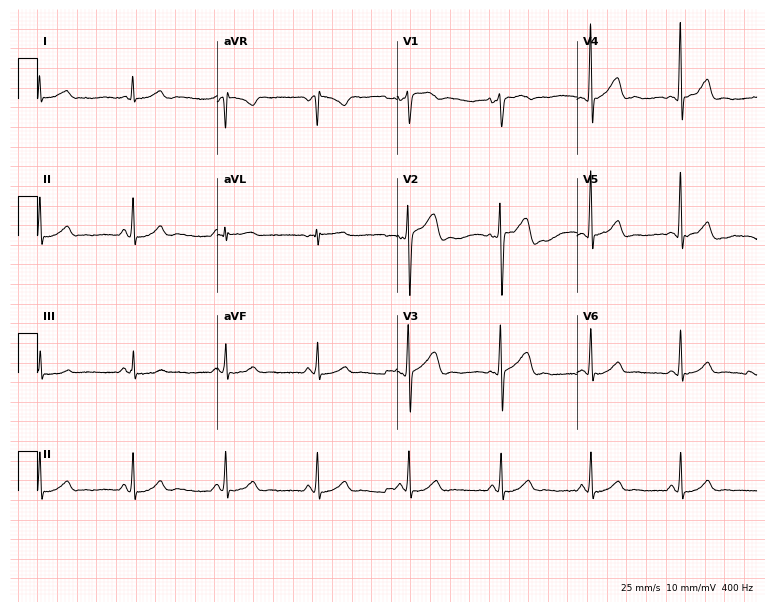
Resting 12-lead electrocardiogram. Patient: a male, 68 years old. Read as a normal ECG.